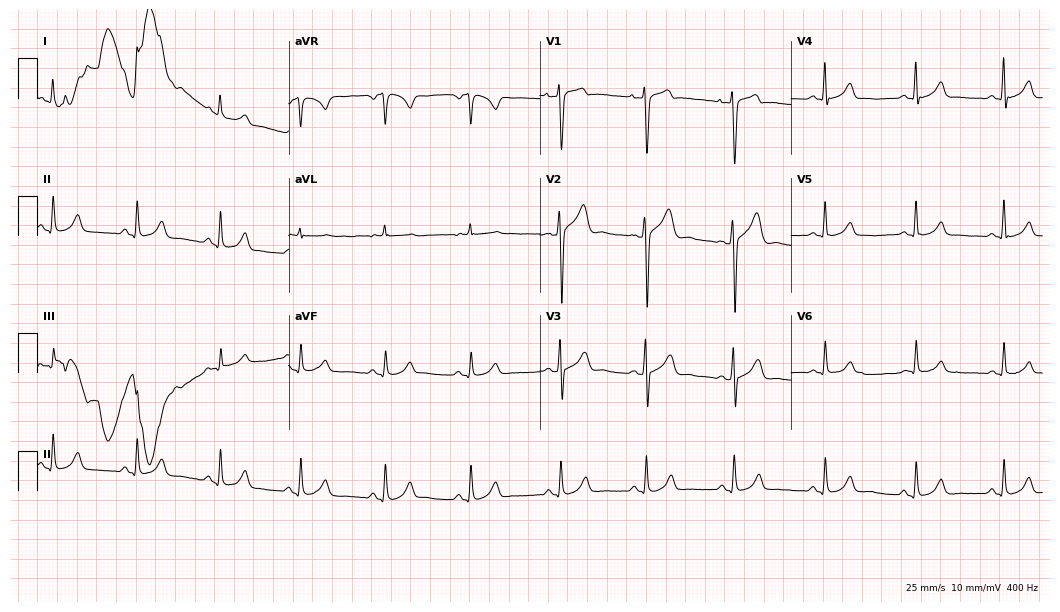
12-lead ECG from a 36-year-old male (10.2-second recording at 400 Hz). Recorded interpretation: within normal limits.